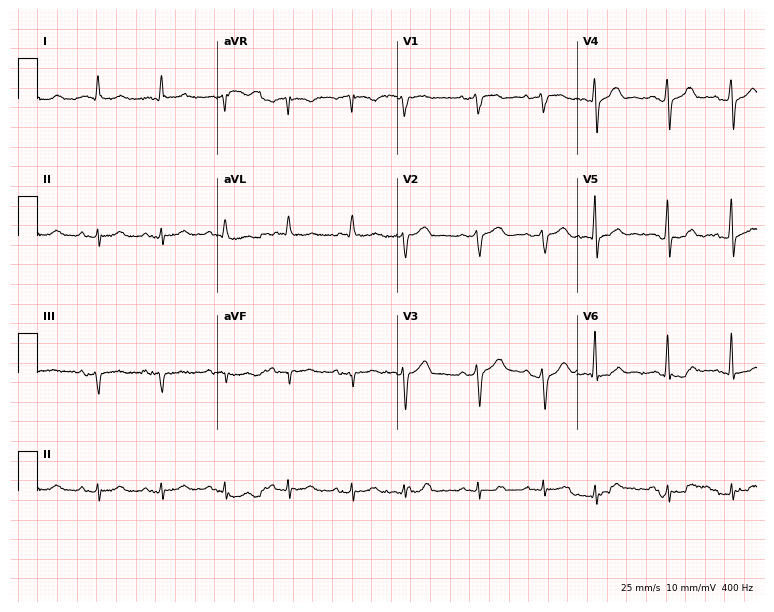
ECG (7.3-second recording at 400 Hz) — a 73-year-old man. Screened for six findings — first-degree AV block, right bundle branch block, left bundle branch block, sinus bradycardia, atrial fibrillation, sinus tachycardia — none is recorded. Other findings, if any, are not listed.